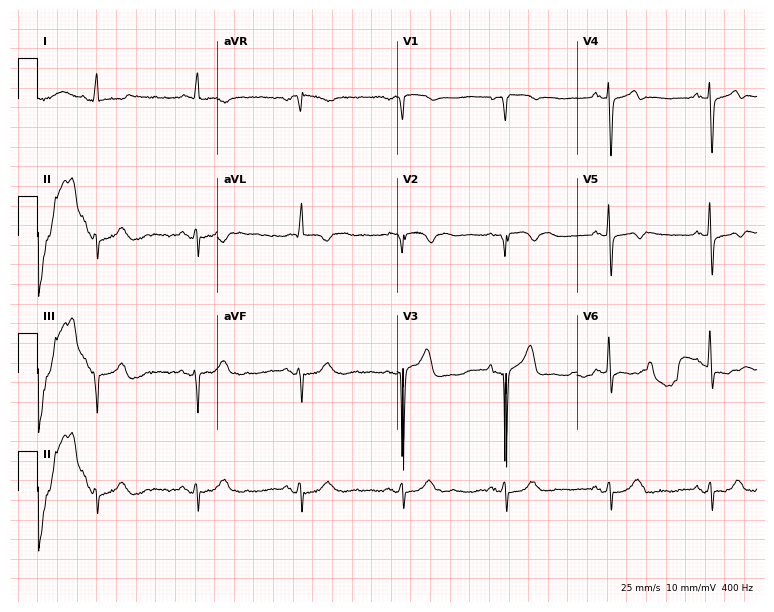
Standard 12-lead ECG recorded from a male, 67 years old. None of these six findings is recorded: first-degree AV block, right bundle branch block (RBBB), left bundle branch block (LBBB), sinus bradycardia, atrial fibrillation (AF), sinus tachycardia. Only these six findings were labelled.